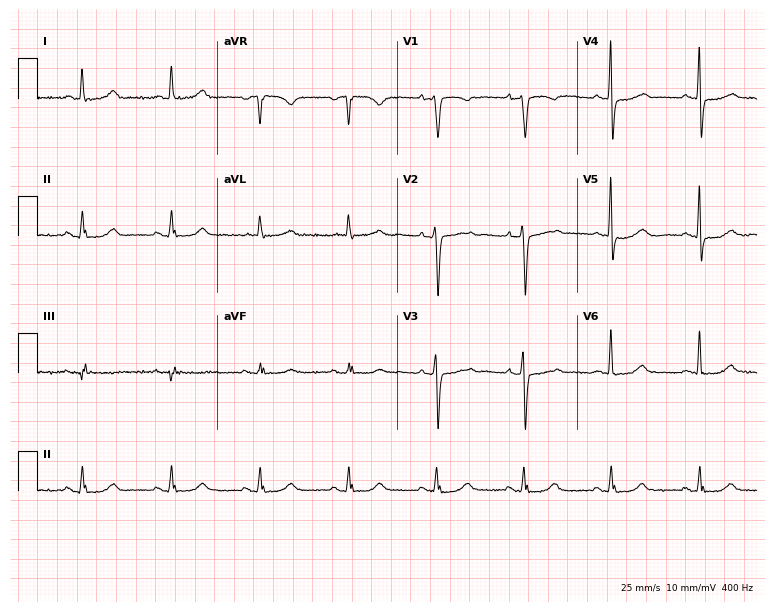
Resting 12-lead electrocardiogram. Patient: a woman, 74 years old. Read as a normal ECG.